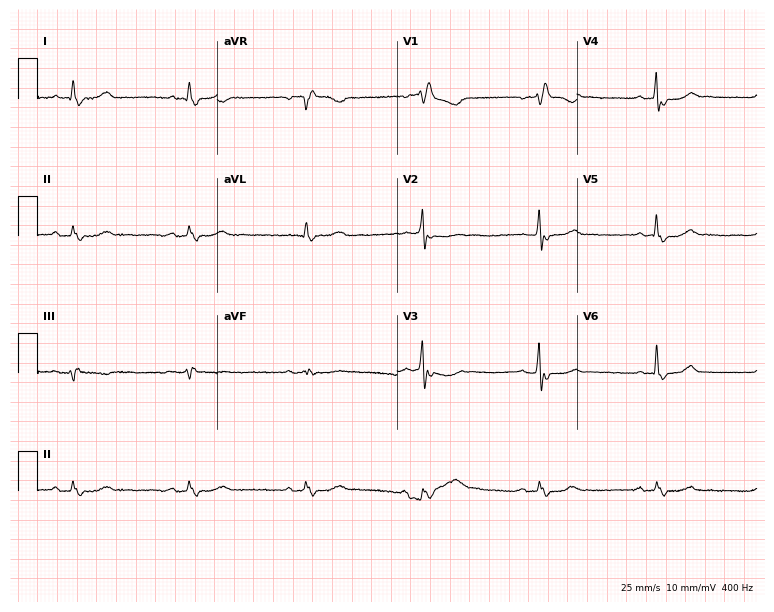
Resting 12-lead electrocardiogram (7.3-second recording at 400 Hz). Patient: an 80-year-old female. None of these six findings is recorded: first-degree AV block, right bundle branch block (RBBB), left bundle branch block (LBBB), sinus bradycardia, atrial fibrillation (AF), sinus tachycardia.